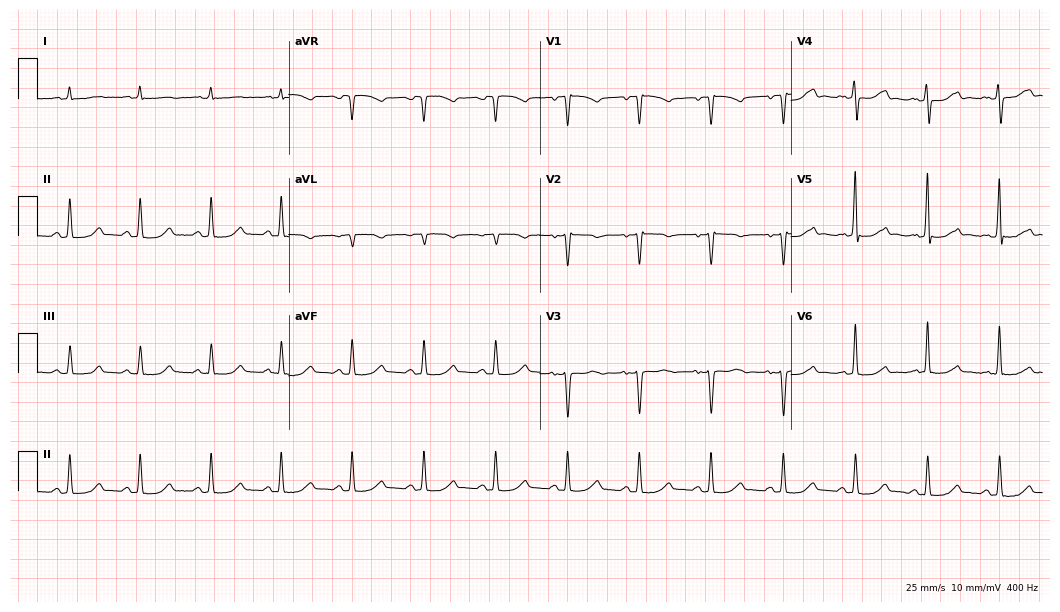
Standard 12-lead ECG recorded from a female, 47 years old (10.2-second recording at 400 Hz). None of these six findings is recorded: first-degree AV block, right bundle branch block, left bundle branch block, sinus bradycardia, atrial fibrillation, sinus tachycardia.